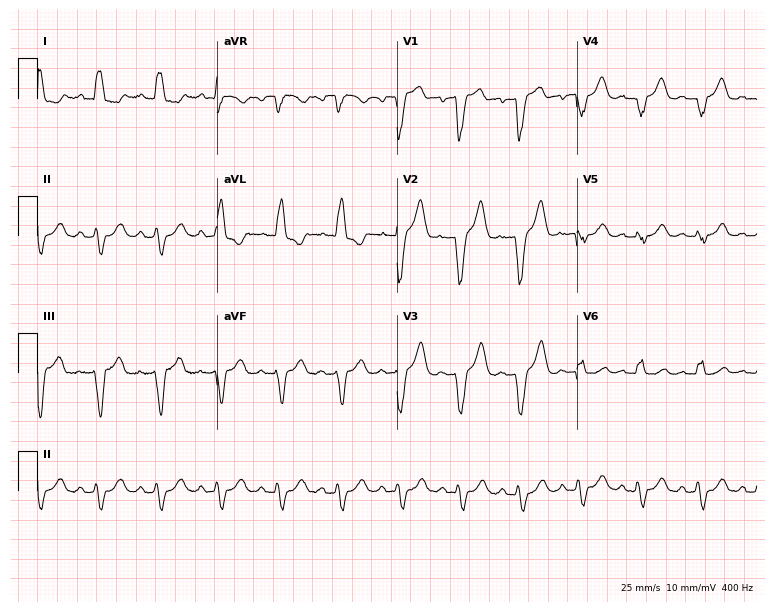
ECG — a 77-year-old female. Findings include left bundle branch block.